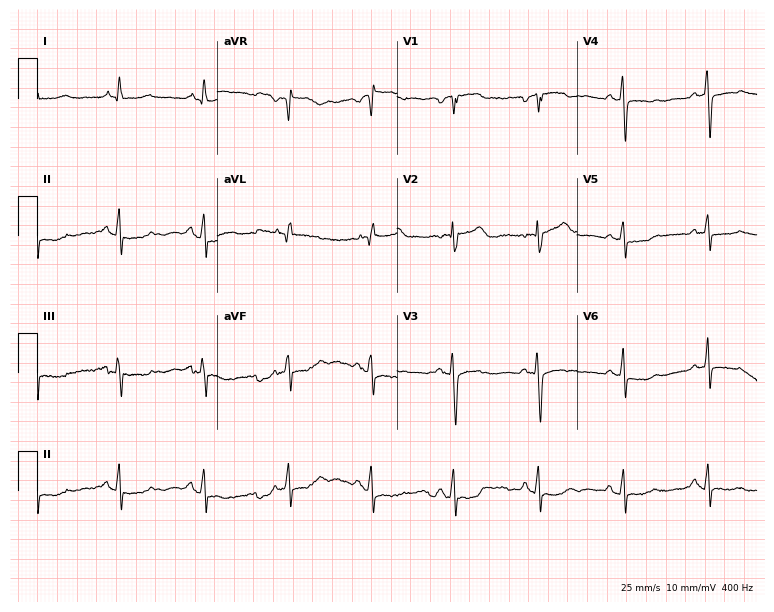
Electrocardiogram (7.3-second recording at 400 Hz), a female patient, 58 years old. Of the six screened findings (first-degree AV block, right bundle branch block (RBBB), left bundle branch block (LBBB), sinus bradycardia, atrial fibrillation (AF), sinus tachycardia), none is recorded.